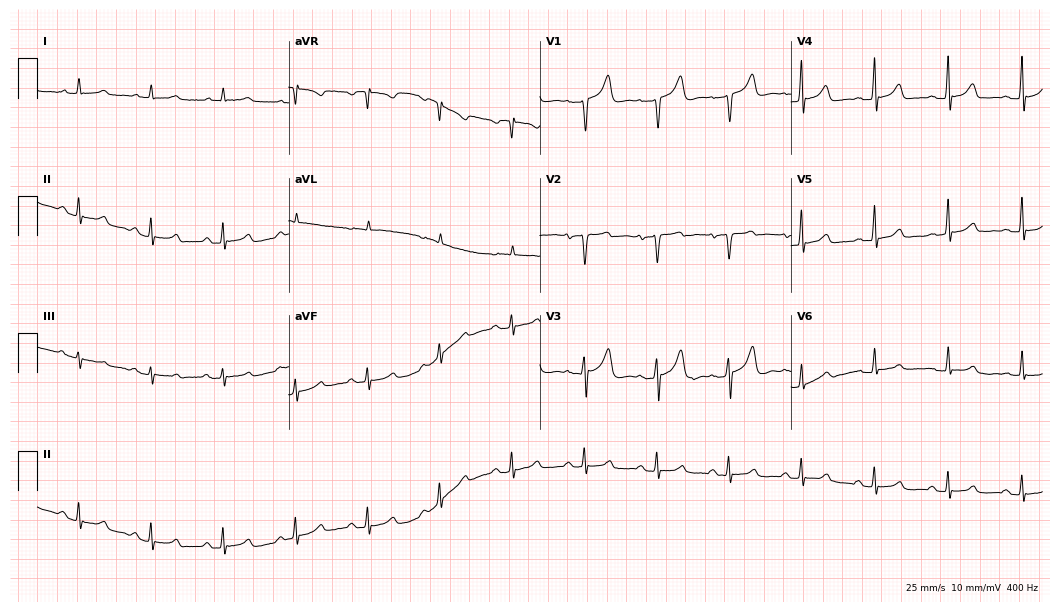
ECG (10.2-second recording at 400 Hz) — a 59-year-old male. Screened for six findings — first-degree AV block, right bundle branch block, left bundle branch block, sinus bradycardia, atrial fibrillation, sinus tachycardia — none is recorded. Findings outside these six are not listed.